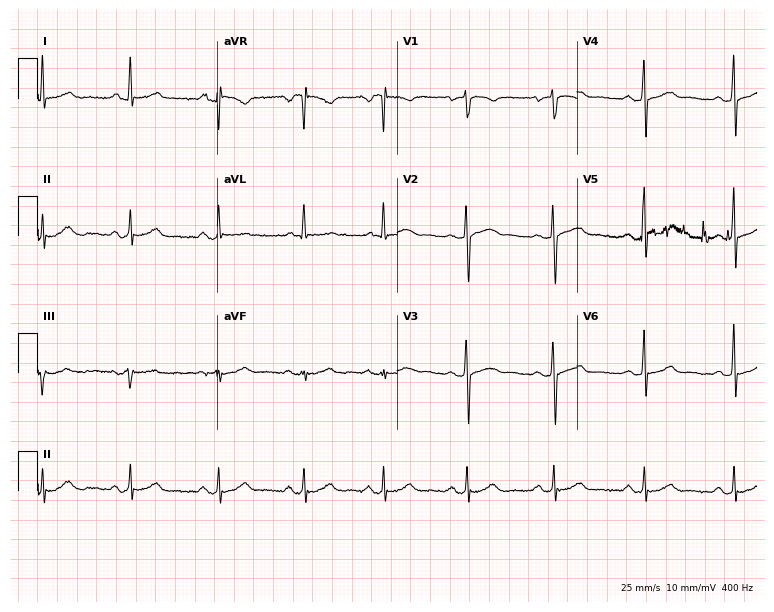
ECG — a 54-year-old female patient. Labelled as a normal ECG.